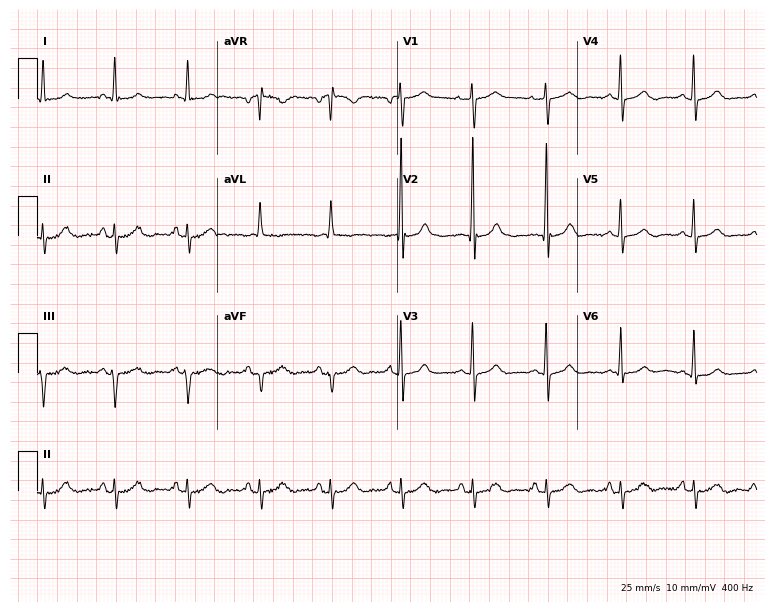
Resting 12-lead electrocardiogram (7.3-second recording at 400 Hz). Patient: a female, 80 years old. None of these six findings is recorded: first-degree AV block, right bundle branch block, left bundle branch block, sinus bradycardia, atrial fibrillation, sinus tachycardia.